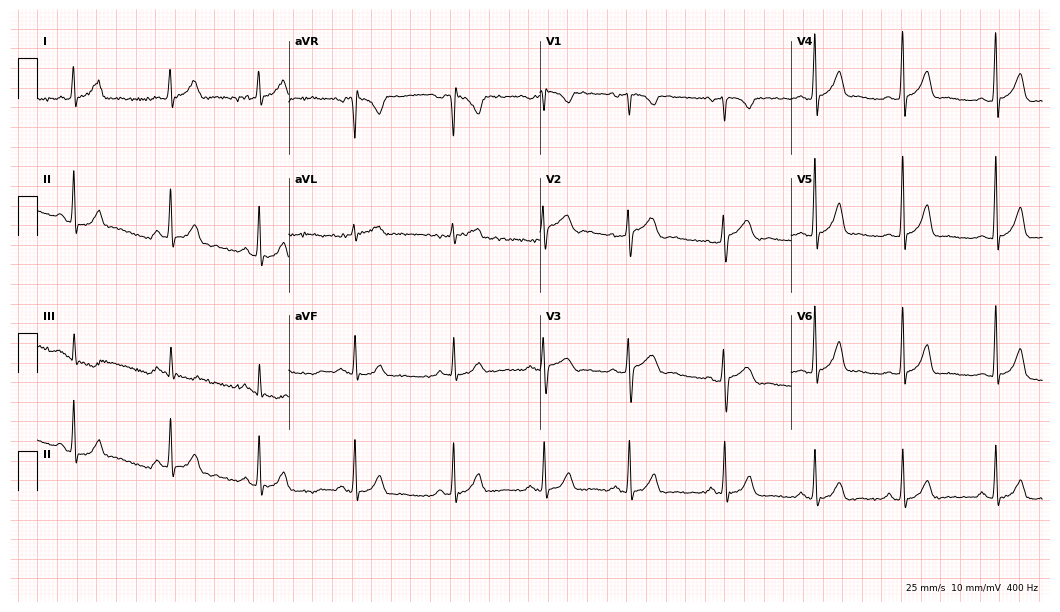
12-lead ECG (10.2-second recording at 400 Hz) from a female patient, 30 years old. Labelled as a normal ECG.